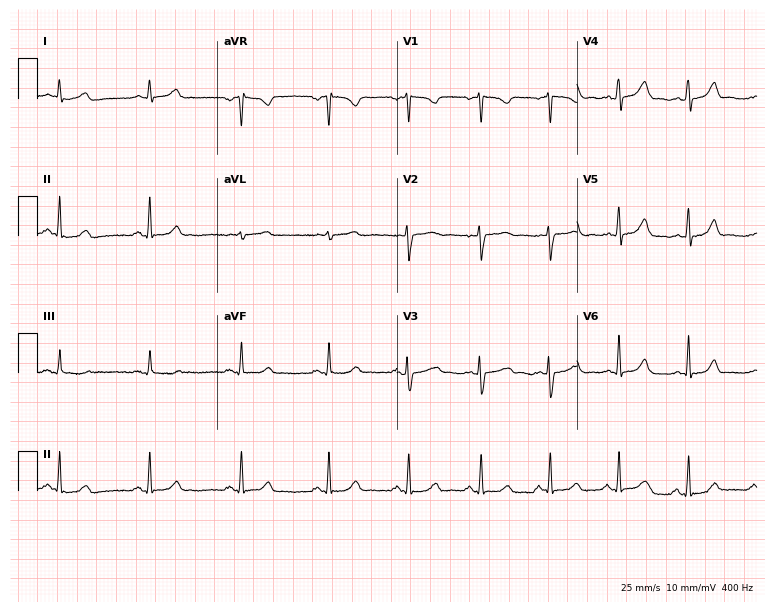
Standard 12-lead ECG recorded from a 34-year-old female. Read as a normal ECG.